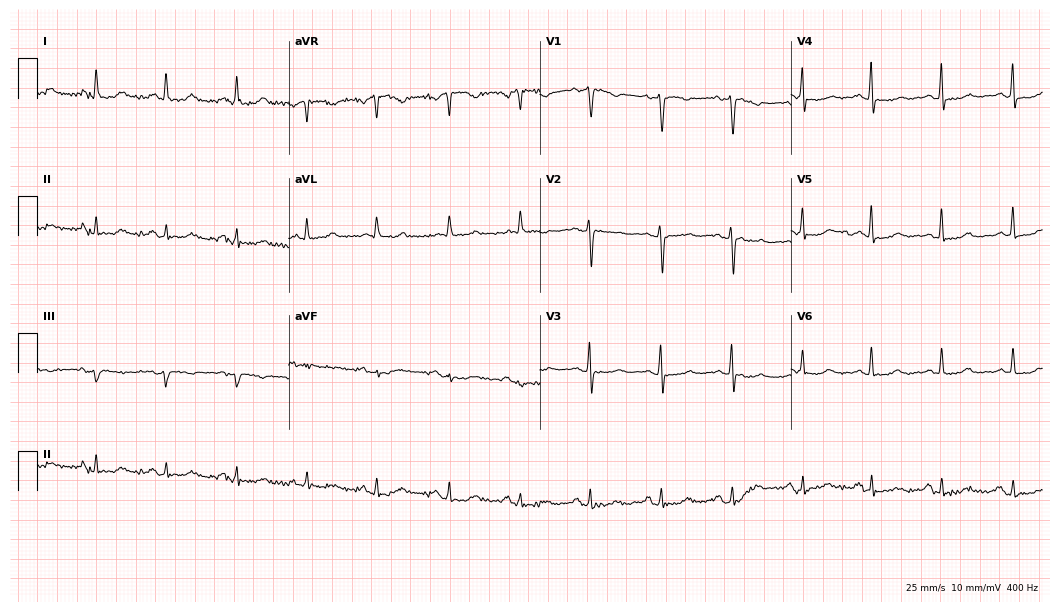
ECG (10.2-second recording at 400 Hz) — a female, 72 years old. Screened for six findings — first-degree AV block, right bundle branch block (RBBB), left bundle branch block (LBBB), sinus bradycardia, atrial fibrillation (AF), sinus tachycardia — none is recorded.